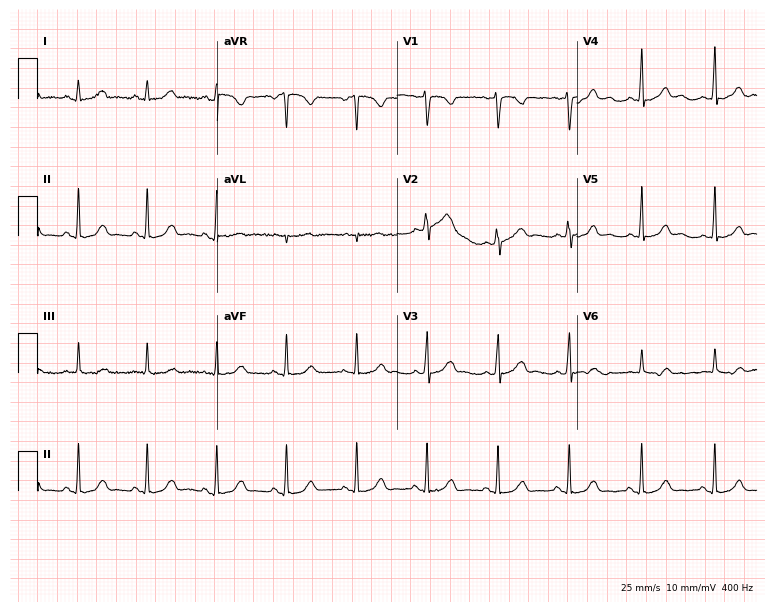
Electrocardiogram, a 19-year-old woman. Of the six screened findings (first-degree AV block, right bundle branch block, left bundle branch block, sinus bradycardia, atrial fibrillation, sinus tachycardia), none is recorded. Only these six findings were labelled.